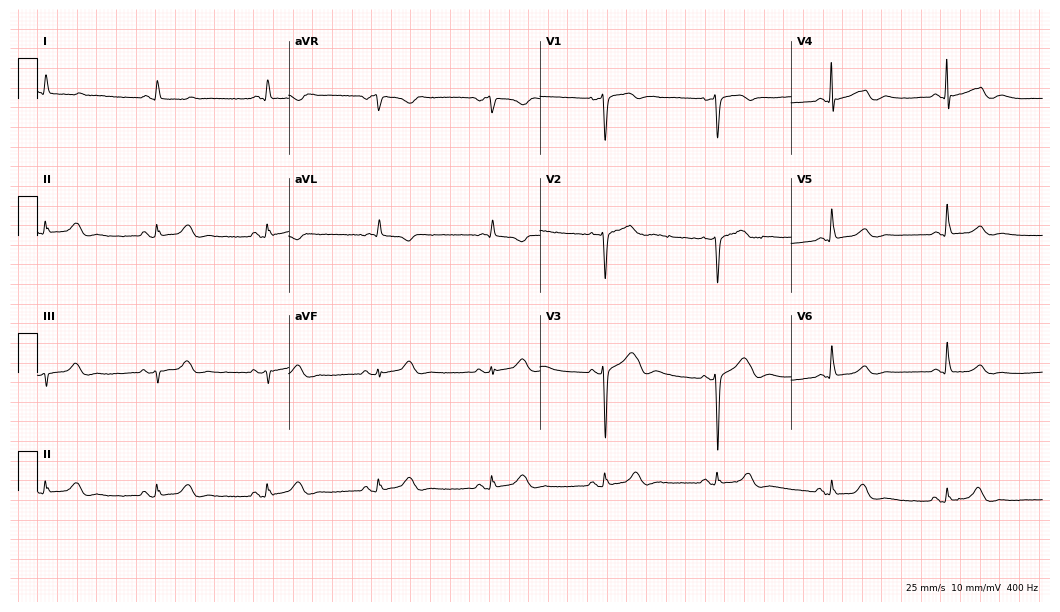
Standard 12-lead ECG recorded from a woman, 77 years old. None of these six findings is recorded: first-degree AV block, right bundle branch block (RBBB), left bundle branch block (LBBB), sinus bradycardia, atrial fibrillation (AF), sinus tachycardia.